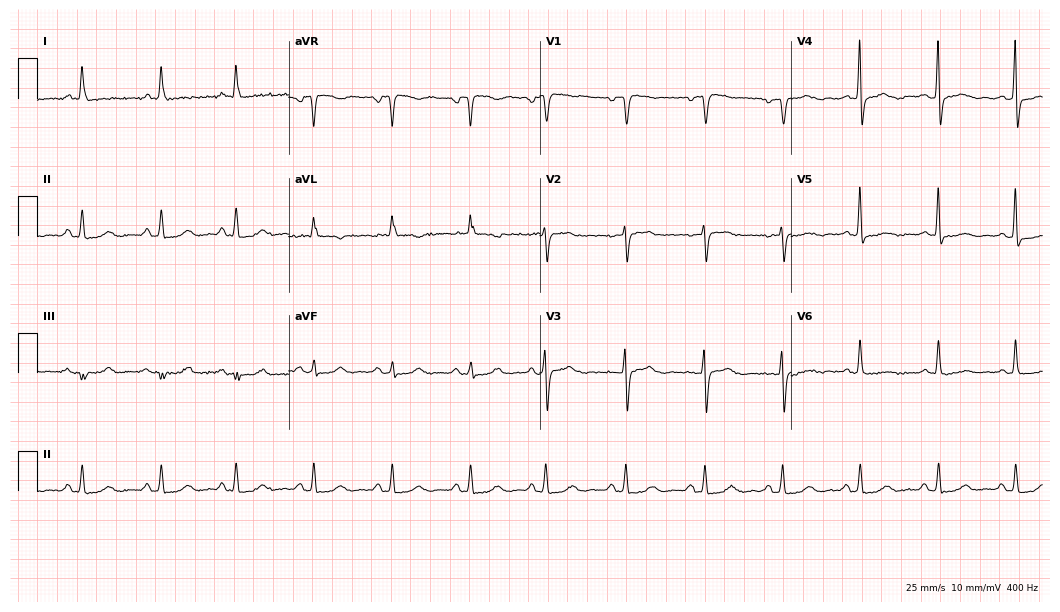
12-lead ECG from a 61-year-old woman (10.2-second recording at 400 Hz). No first-degree AV block, right bundle branch block (RBBB), left bundle branch block (LBBB), sinus bradycardia, atrial fibrillation (AF) or sinus tachycardia recorded for this tracing.